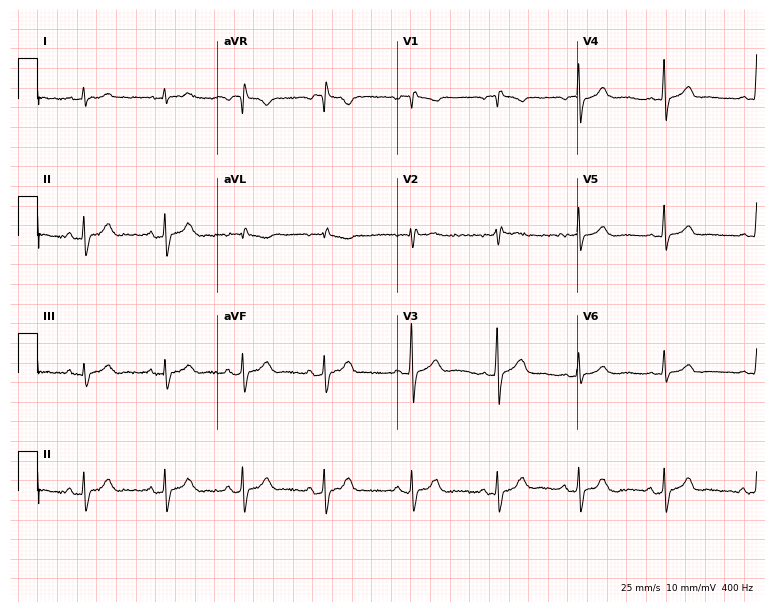
12-lead ECG from a man, 38 years old. Screened for six findings — first-degree AV block, right bundle branch block, left bundle branch block, sinus bradycardia, atrial fibrillation, sinus tachycardia — none is recorded. Only these six findings were labelled.